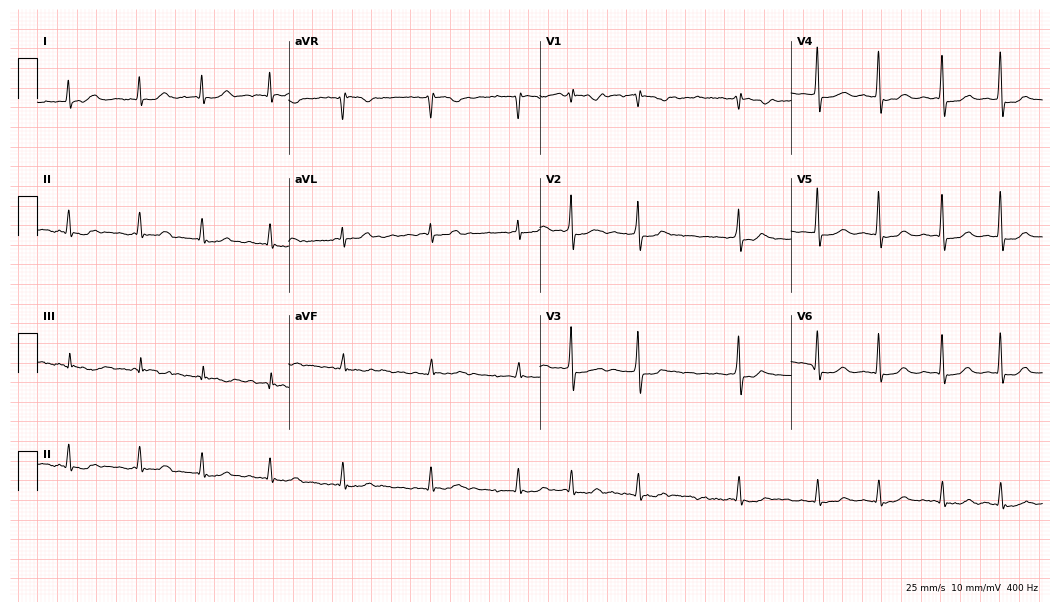
12-lead ECG (10.2-second recording at 400 Hz) from a woman, 61 years old. Findings include atrial fibrillation.